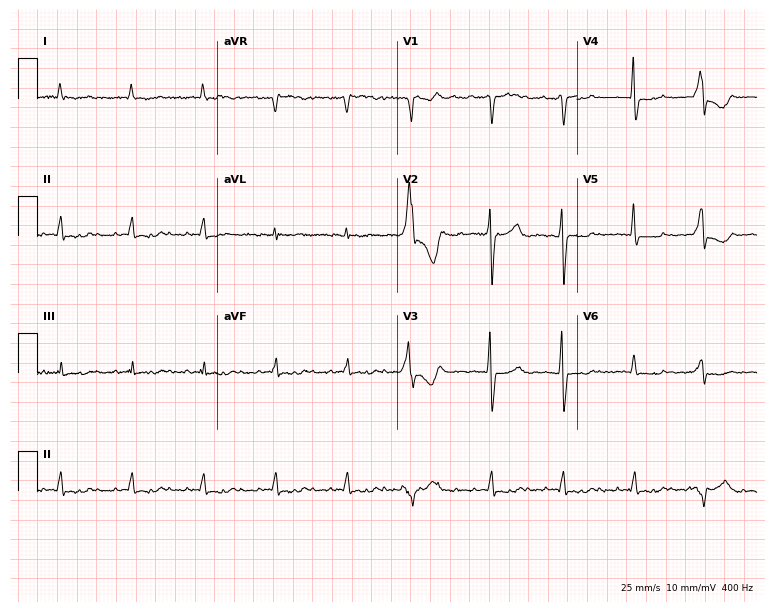
Electrocardiogram (7.3-second recording at 400 Hz), a male, 76 years old. Of the six screened findings (first-degree AV block, right bundle branch block, left bundle branch block, sinus bradycardia, atrial fibrillation, sinus tachycardia), none is recorded.